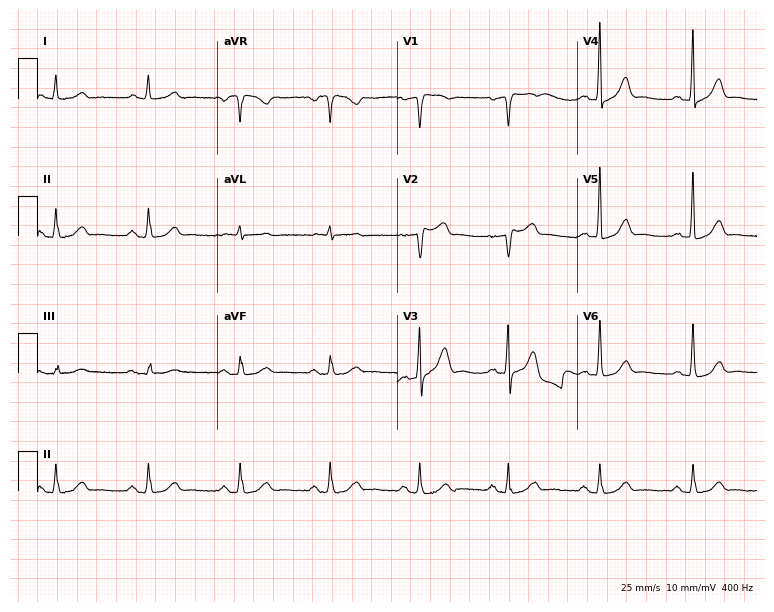
12-lead ECG (7.3-second recording at 400 Hz) from a 78-year-old man. Screened for six findings — first-degree AV block, right bundle branch block, left bundle branch block, sinus bradycardia, atrial fibrillation, sinus tachycardia — none is recorded. Only these six findings were labelled.